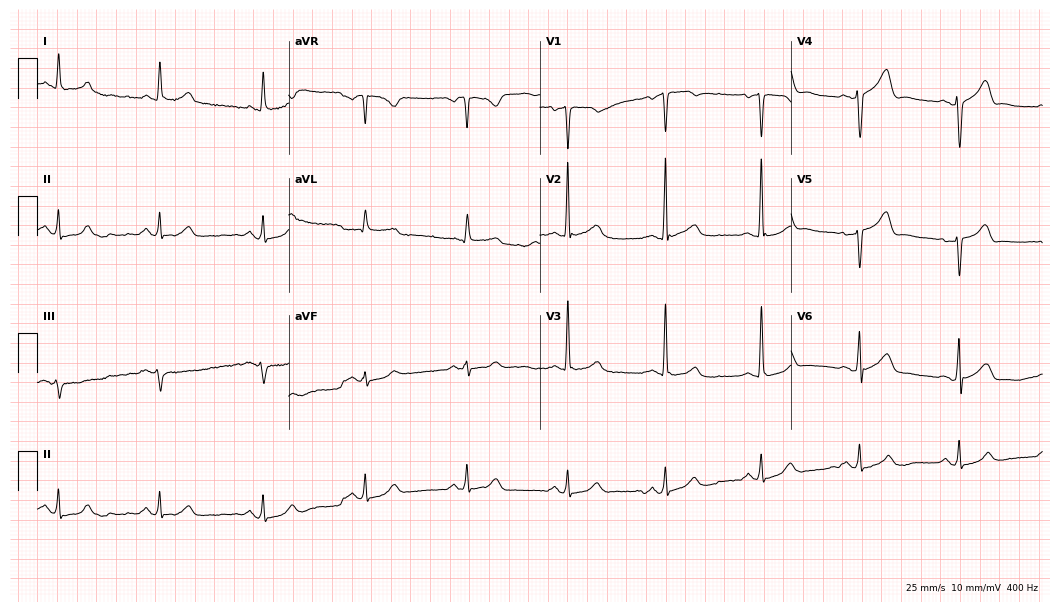
Electrocardiogram, a male patient, 51 years old. Of the six screened findings (first-degree AV block, right bundle branch block, left bundle branch block, sinus bradycardia, atrial fibrillation, sinus tachycardia), none is recorded. Findings outside these six are not listed.